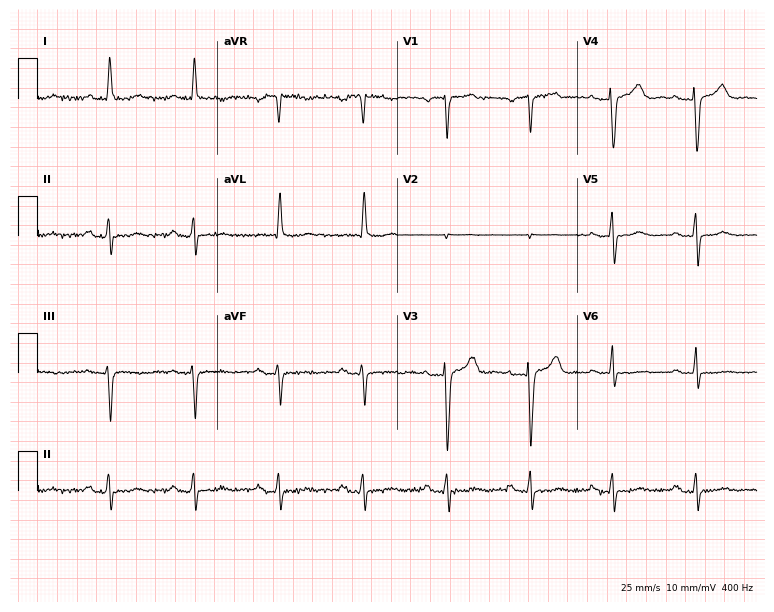
ECG (7.3-second recording at 400 Hz) — a 62-year-old female. Screened for six findings — first-degree AV block, right bundle branch block, left bundle branch block, sinus bradycardia, atrial fibrillation, sinus tachycardia — none is recorded.